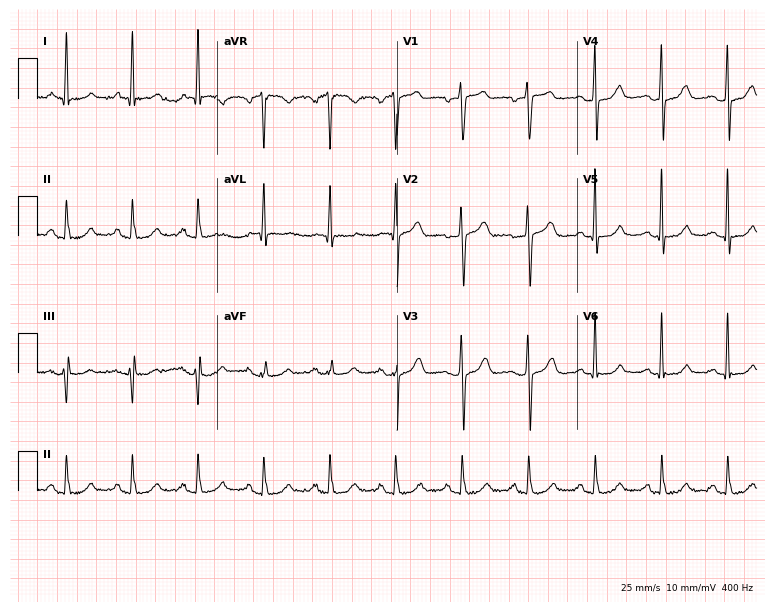
12-lead ECG from a female, 65 years old (7.3-second recording at 400 Hz). Recorded interpretation: within normal limits.